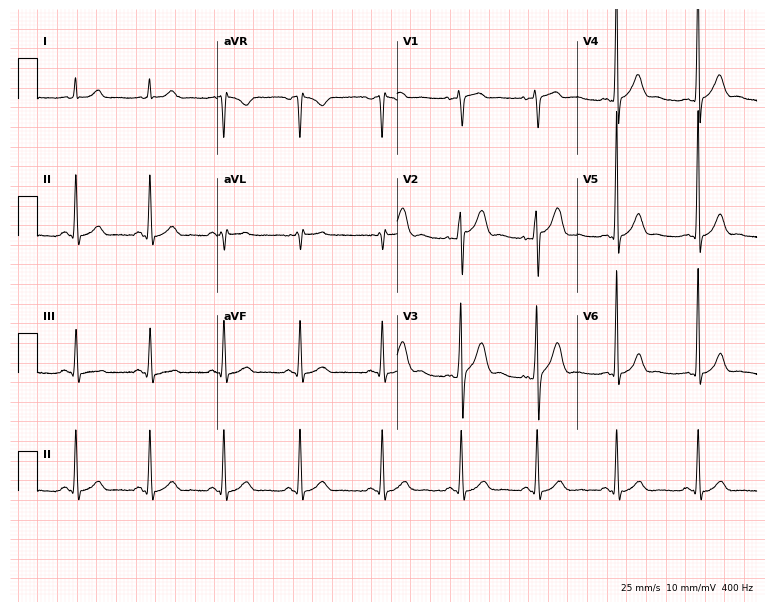
Electrocardiogram, a 27-year-old male patient. Of the six screened findings (first-degree AV block, right bundle branch block (RBBB), left bundle branch block (LBBB), sinus bradycardia, atrial fibrillation (AF), sinus tachycardia), none is recorded.